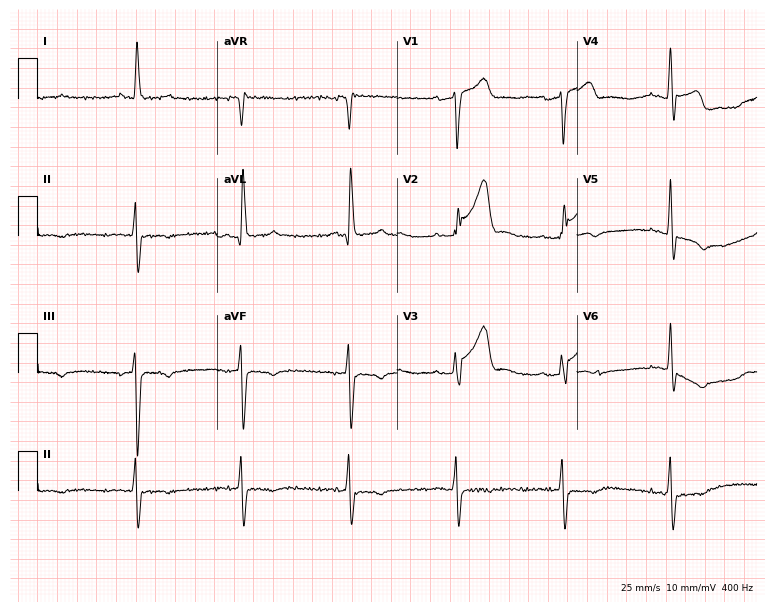
Standard 12-lead ECG recorded from a 76-year-old male patient (7.3-second recording at 400 Hz). None of these six findings is recorded: first-degree AV block, right bundle branch block (RBBB), left bundle branch block (LBBB), sinus bradycardia, atrial fibrillation (AF), sinus tachycardia.